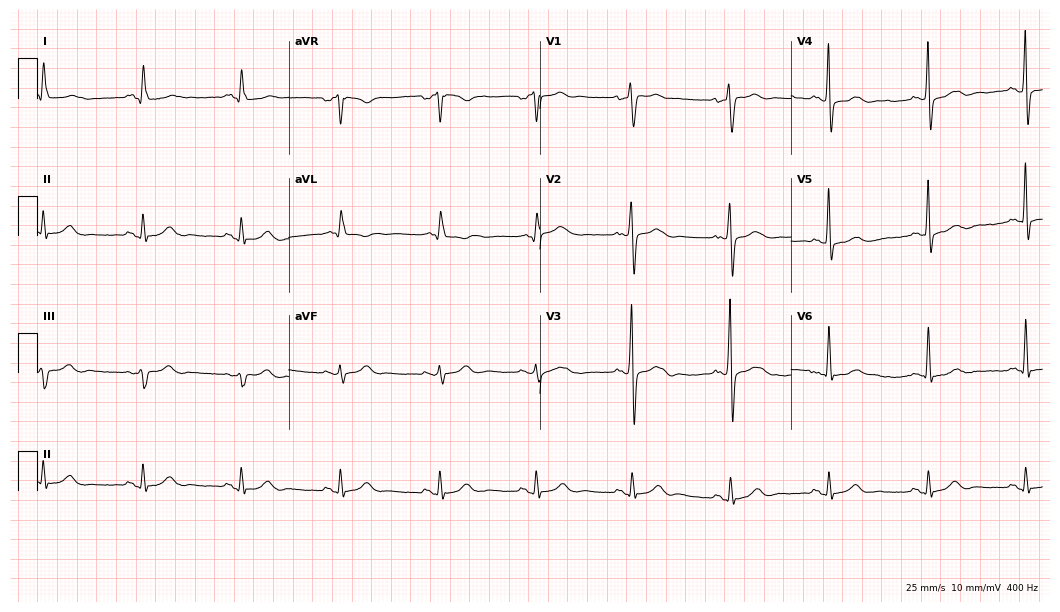
12-lead ECG from a male patient, 54 years old. Screened for six findings — first-degree AV block, right bundle branch block, left bundle branch block, sinus bradycardia, atrial fibrillation, sinus tachycardia — none is recorded. Other findings, if any, are not listed.